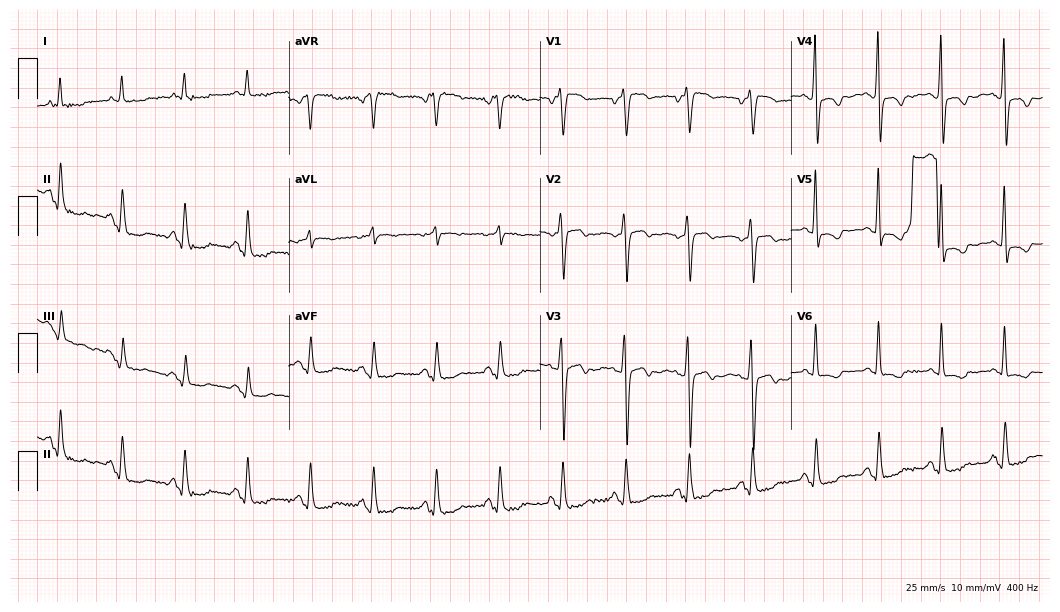
Standard 12-lead ECG recorded from a 66-year-old female (10.2-second recording at 400 Hz). None of these six findings is recorded: first-degree AV block, right bundle branch block (RBBB), left bundle branch block (LBBB), sinus bradycardia, atrial fibrillation (AF), sinus tachycardia. Other findings, if any, are not listed.